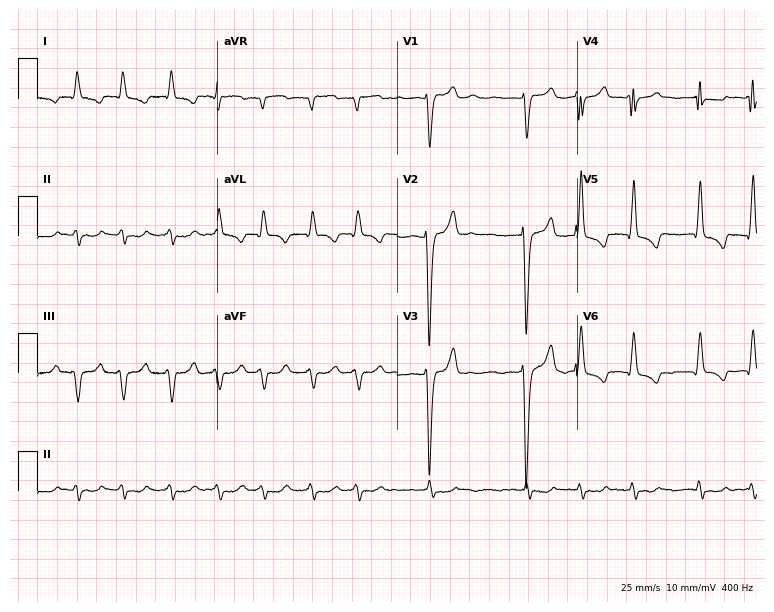
Electrocardiogram, a male patient, 82 years old. Interpretation includes atrial fibrillation.